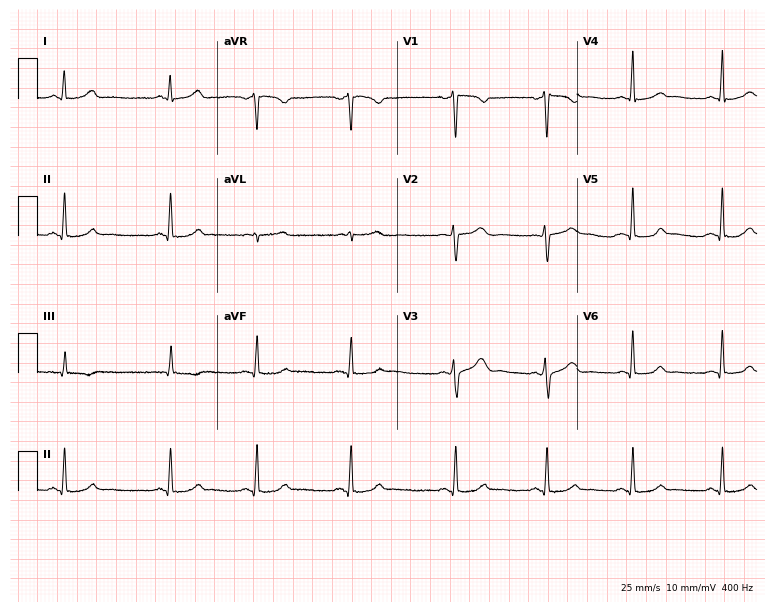
Standard 12-lead ECG recorded from a 30-year-old female. None of these six findings is recorded: first-degree AV block, right bundle branch block, left bundle branch block, sinus bradycardia, atrial fibrillation, sinus tachycardia. Other findings, if any, are not listed.